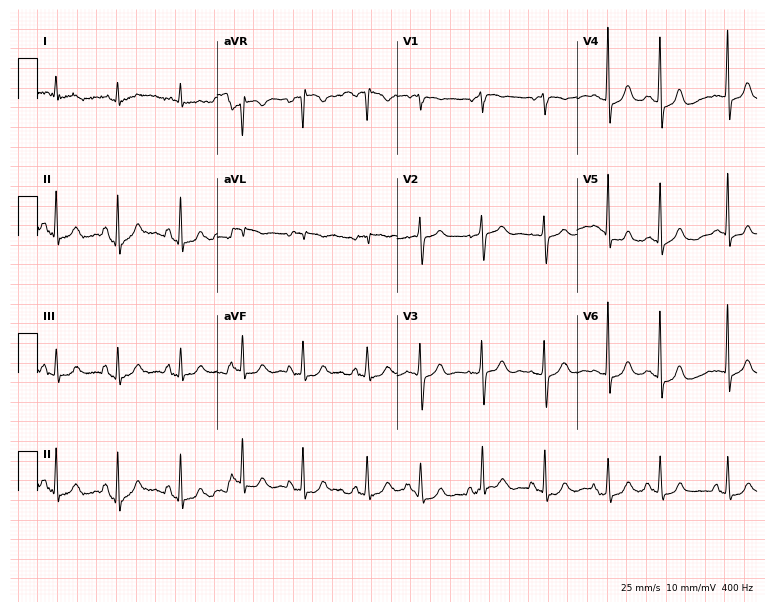
Resting 12-lead electrocardiogram (7.3-second recording at 400 Hz). Patient: an 85-year-old woman. Read as a normal ECG.